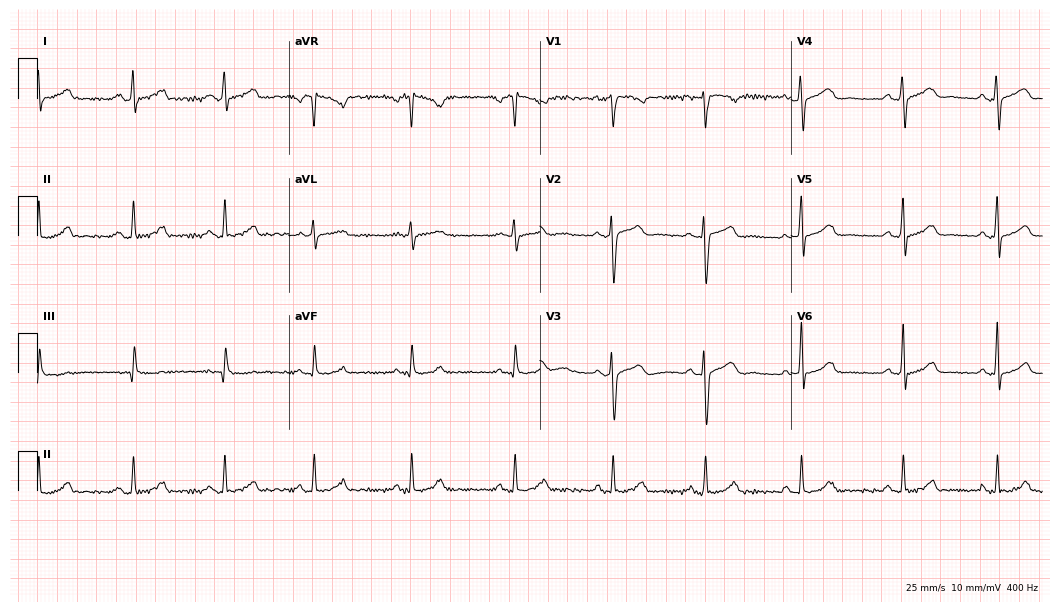
Standard 12-lead ECG recorded from a 35-year-old woman (10.2-second recording at 400 Hz). Read as a normal ECG.